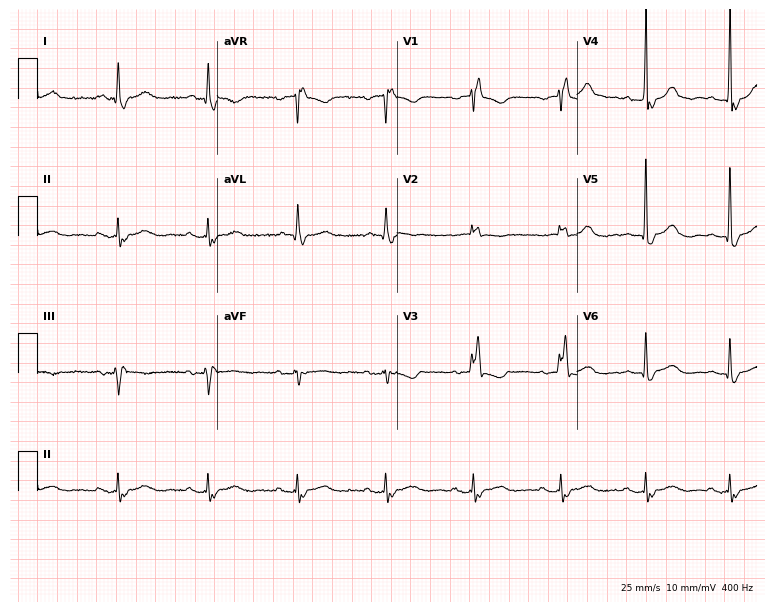
Electrocardiogram, a female patient, 83 years old. Interpretation includes right bundle branch block (RBBB).